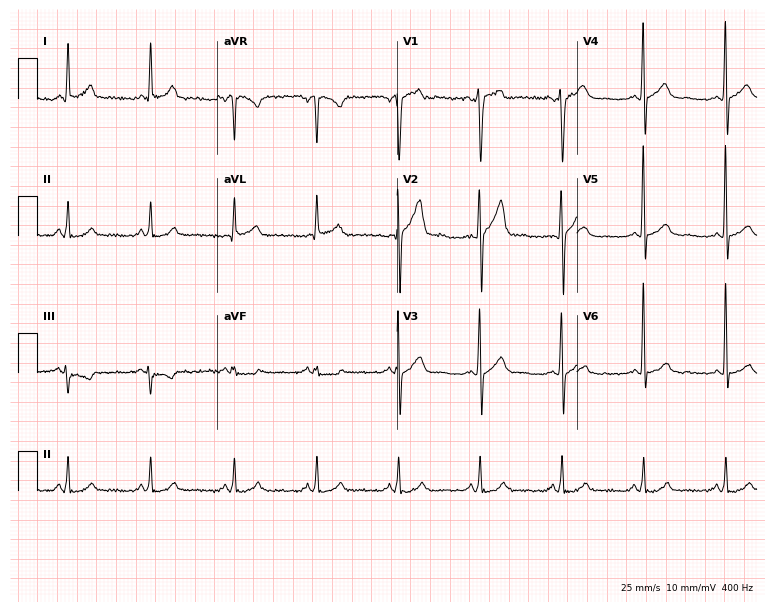
Standard 12-lead ECG recorded from a male, 38 years old (7.3-second recording at 400 Hz). None of these six findings is recorded: first-degree AV block, right bundle branch block, left bundle branch block, sinus bradycardia, atrial fibrillation, sinus tachycardia.